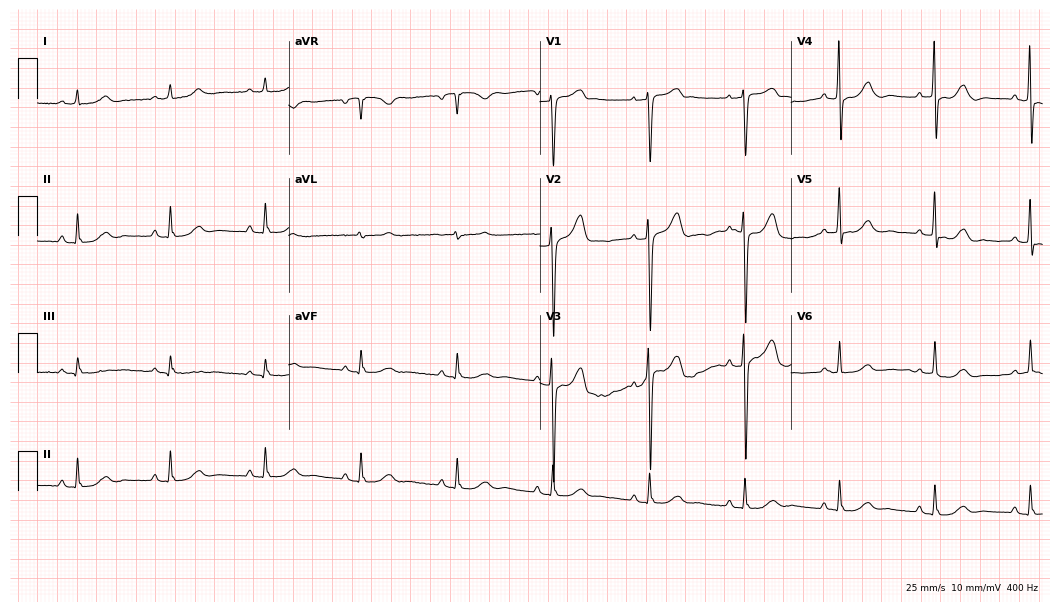
Electrocardiogram (10.2-second recording at 400 Hz), a male, 76 years old. Of the six screened findings (first-degree AV block, right bundle branch block (RBBB), left bundle branch block (LBBB), sinus bradycardia, atrial fibrillation (AF), sinus tachycardia), none is recorded. Other findings, if any, are not listed.